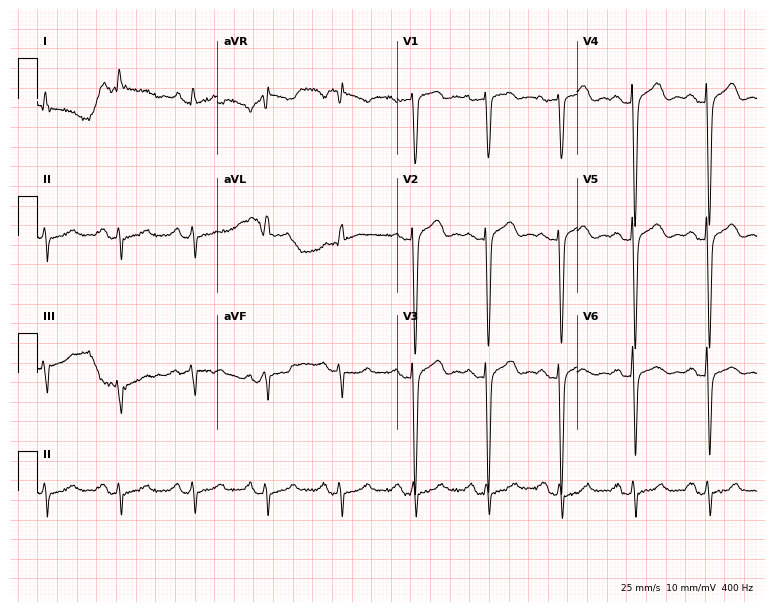
ECG — a 65-year-old male. Screened for six findings — first-degree AV block, right bundle branch block, left bundle branch block, sinus bradycardia, atrial fibrillation, sinus tachycardia — none is recorded. Findings outside these six are not listed.